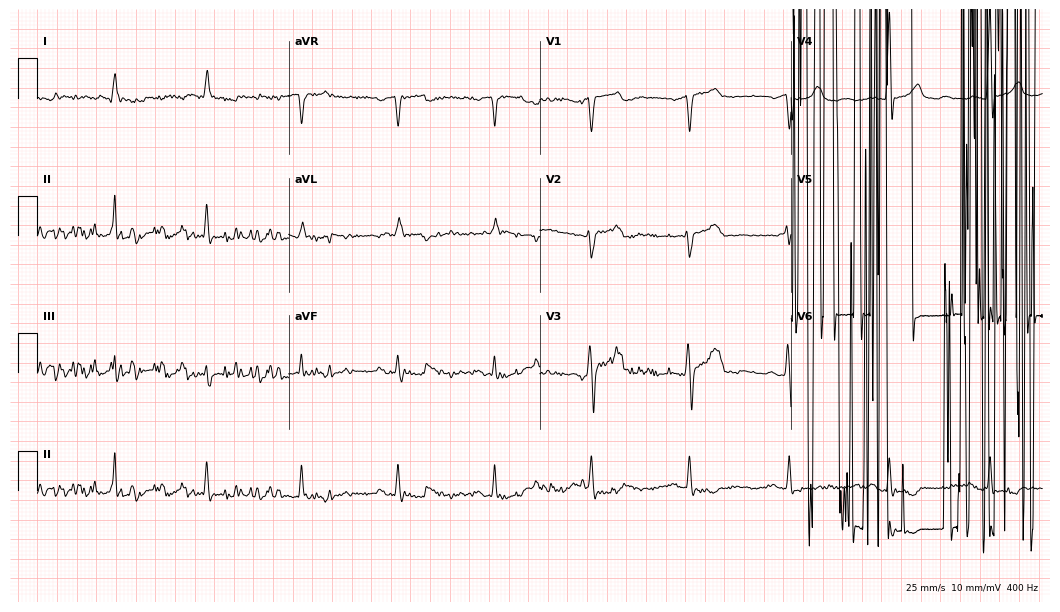
12-lead ECG from a 58-year-old man. No first-degree AV block, right bundle branch block, left bundle branch block, sinus bradycardia, atrial fibrillation or sinus tachycardia recorded for this tracing.